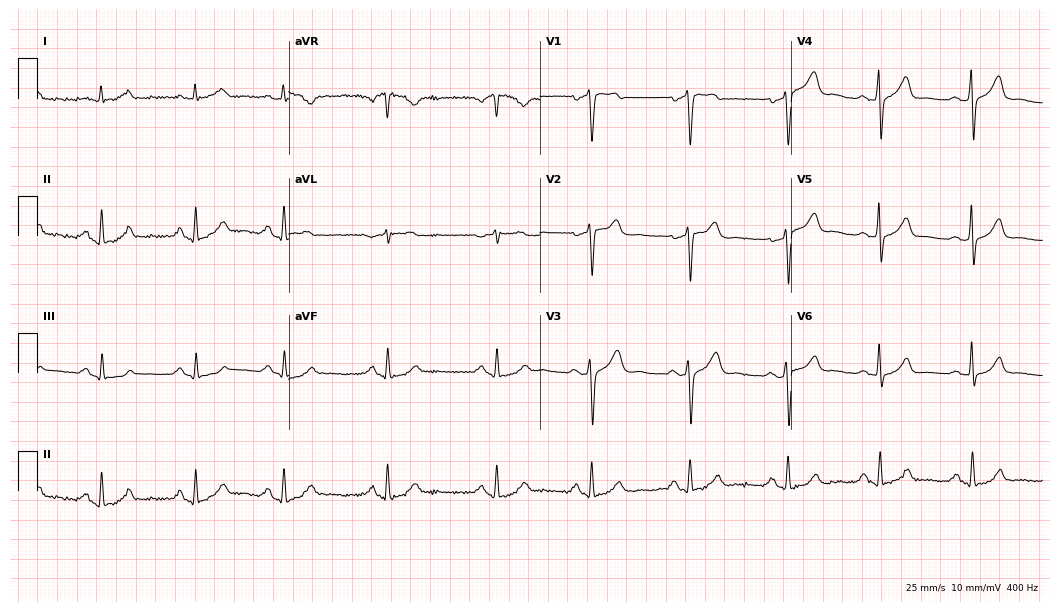
Electrocardiogram (10.2-second recording at 400 Hz), a man, 35 years old. Overall reading on record: normal ECG.